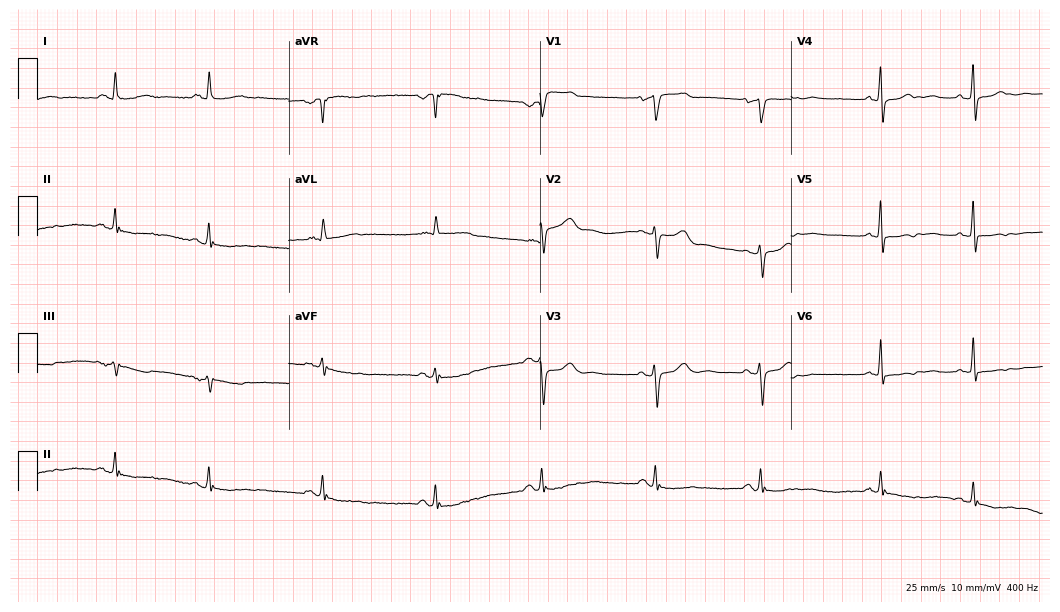
Standard 12-lead ECG recorded from a female, 71 years old (10.2-second recording at 400 Hz). None of these six findings is recorded: first-degree AV block, right bundle branch block (RBBB), left bundle branch block (LBBB), sinus bradycardia, atrial fibrillation (AF), sinus tachycardia.